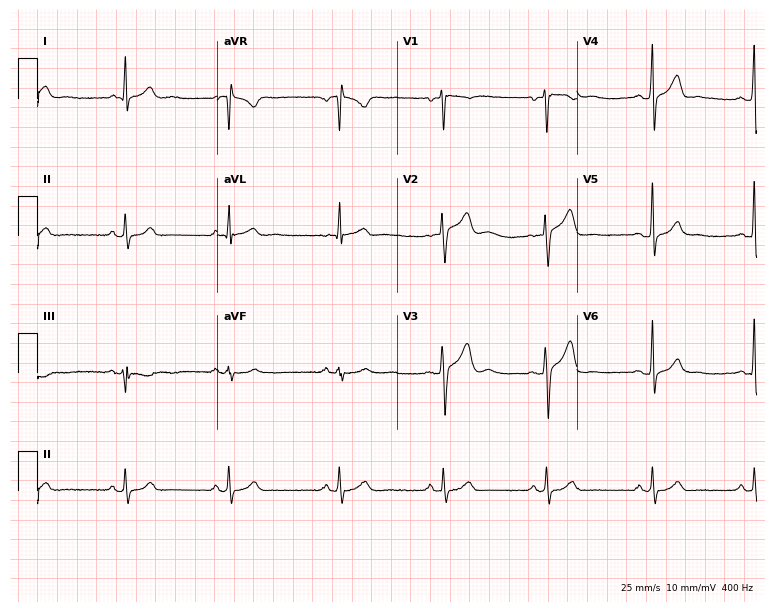
Standard 12-lead ECG recorded from a male patient, 41 years old. None of these six findings is recorded: first-degree AV block, right bundle branch block (RBBB), left bundle branch block (LBBB), sinus bradycardia, atrial fibrillation (AF), sinus tachycardia. Other findings, if any, are not listed.